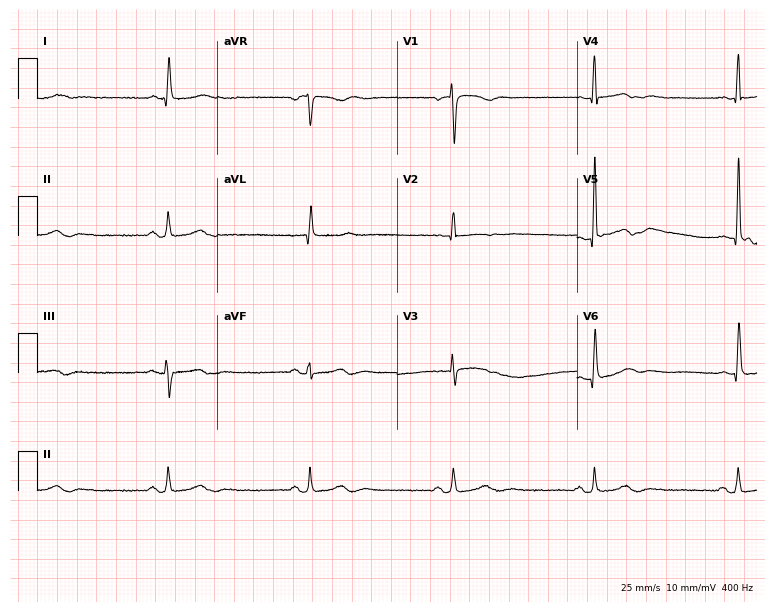
ECG (7.3-second recording at 400 Hz) — an 81-year-old woman. Findings include sinus bradycardia (a sinus rate of 50 beats per minute or less).